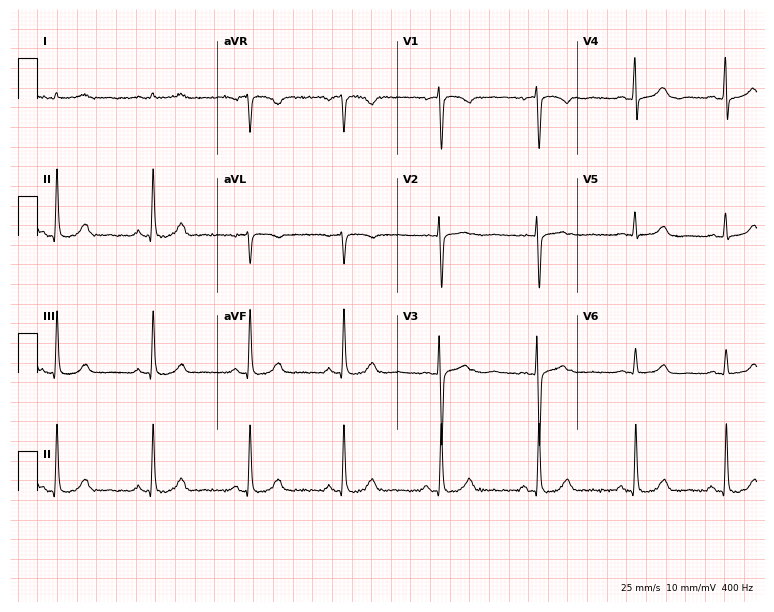
12-lead ECG from a woman, 35 years old (7.3-second recording at 400 Hz). Recorded interpretation: within normal limits.